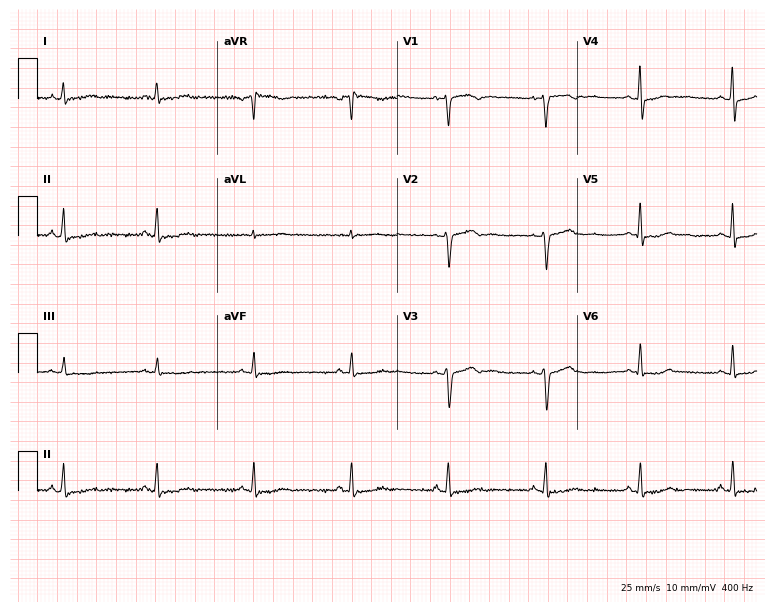
12-lead ECG from a female, 55 years old. No first-degree AV block, right bundle branch block, left bundle branch block, sinus bradycardia, atrial fibrillation or sinus tachycardia recorded for this tracing. Other findings, if any, are not listed.